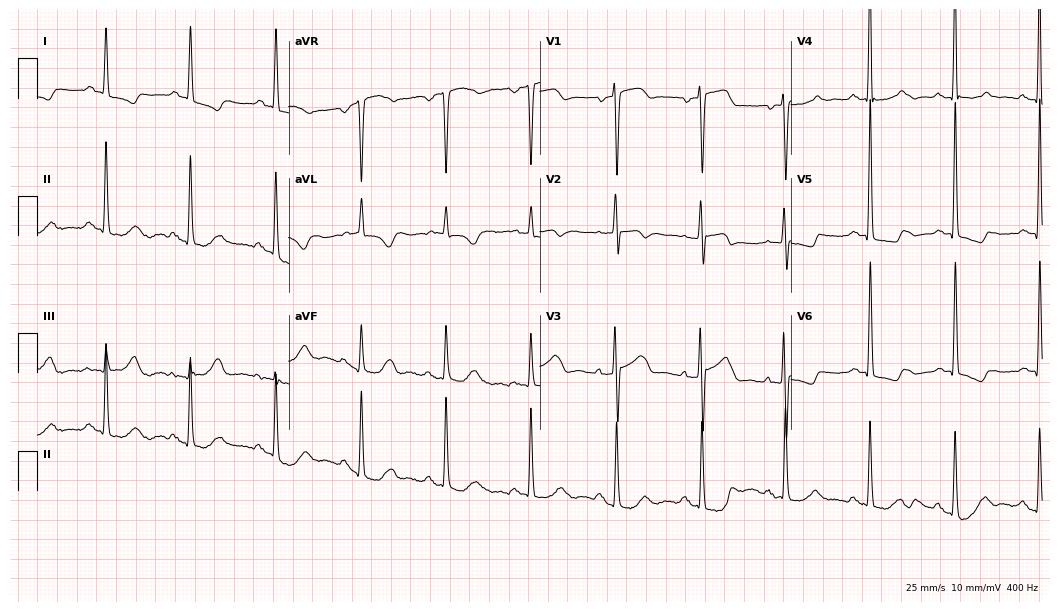
Resting 12-lead electrocardiogram (10.2-second recording at 400 Hz). Patient: a 63-year-old female. None of these six findings is recorded: first-degree AV block, right bundle branch block (RBBB), left bundle branch block (LBBB), sinus bradycardia, atrial fibrillation (AF), sinus tachycardia. Findings outside these six are not listed.